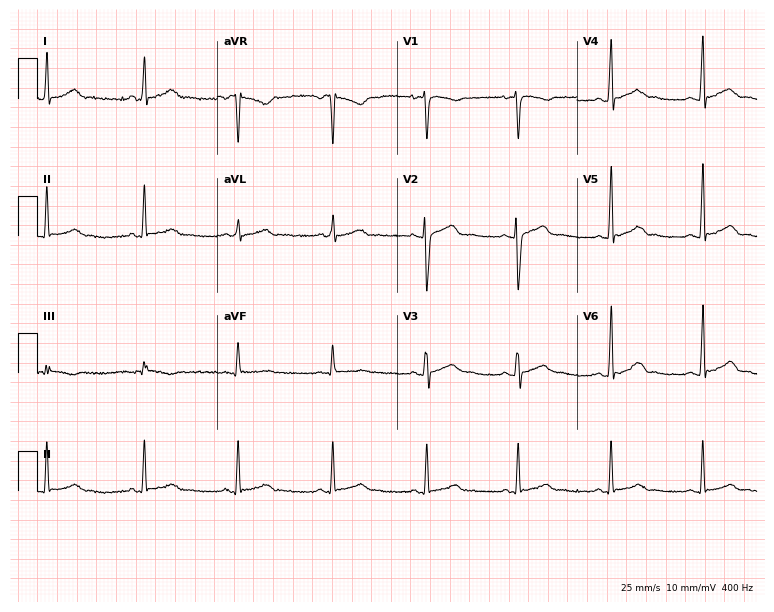
12-lead ECG (7.3-second recording at 400 Hz) from a male, 32 years old. Labelled as a normal ECG.